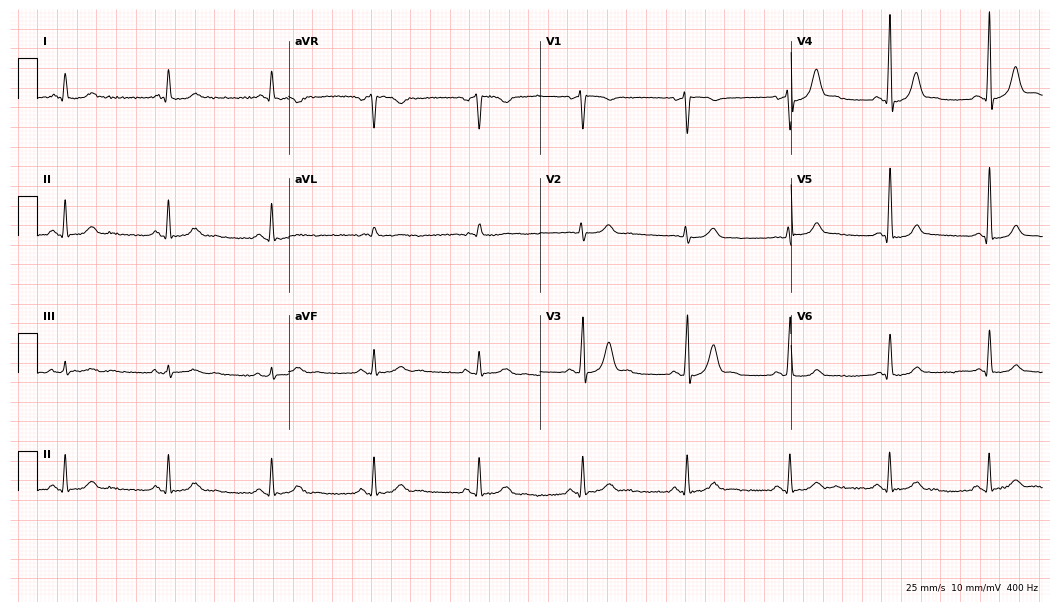
Standard 12-lead ECG recorded from a male, 55 years old (10.2-second recording at 400 Hz). None of these six findings is recorded: first-degree AV block, right bundle branch block, left bundle branch block, sinus bradycardia, atrial fibrillation, sinus tachycardia. Only these six findings were labelled.